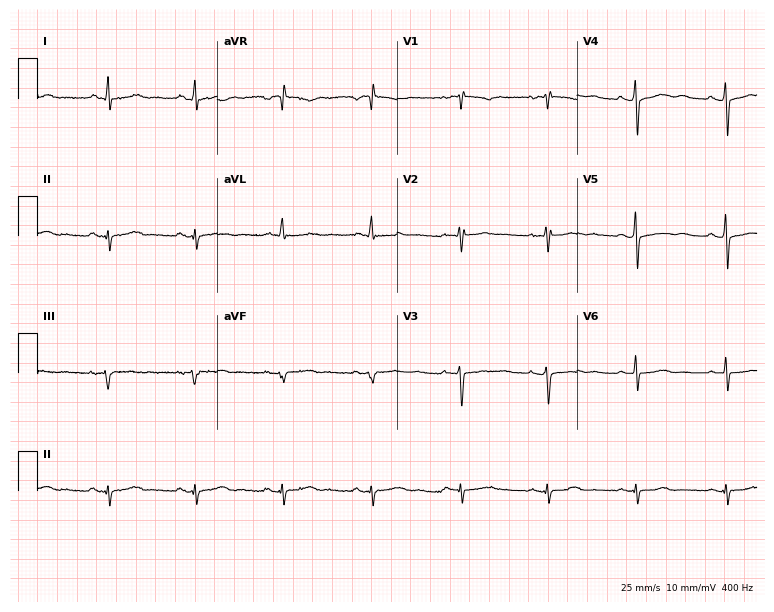
12-lead ECG from a 51-year-old female patient (7.3-second recording at 400 Hz). No first-degree AV block, right bundle branch block (RBBB), left bundle branch block (LBBB), sinus bradycardia, atrial fibrillation (AF) or sinus tachycardia recorded for this tracing. Other findings, if any, are not listed.